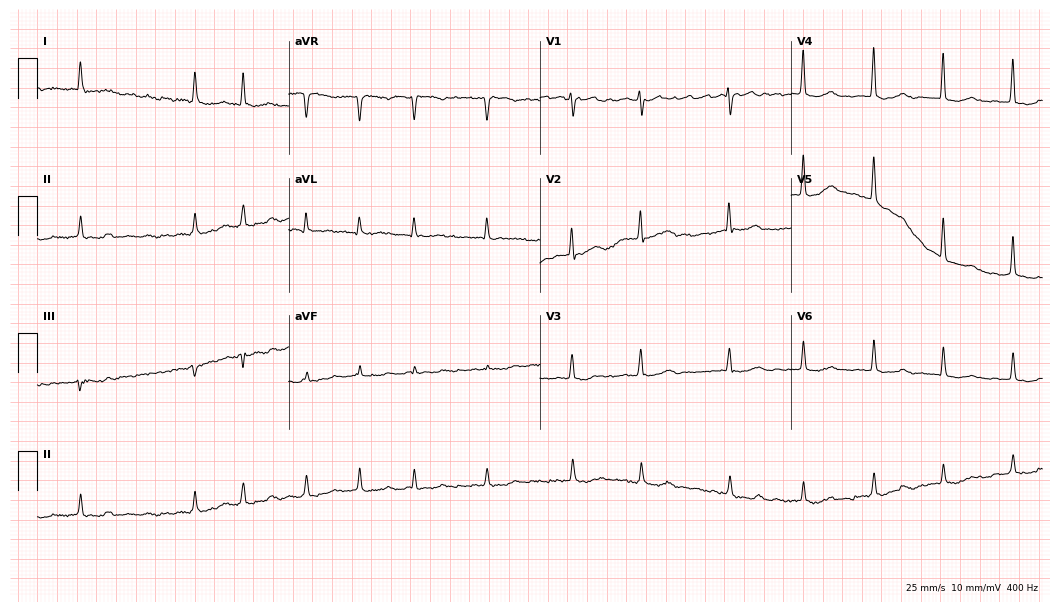
Resting 12-lead electrocardiogram. Patient: an 83-year-old woman. The tracing shows atrial fibrillation.